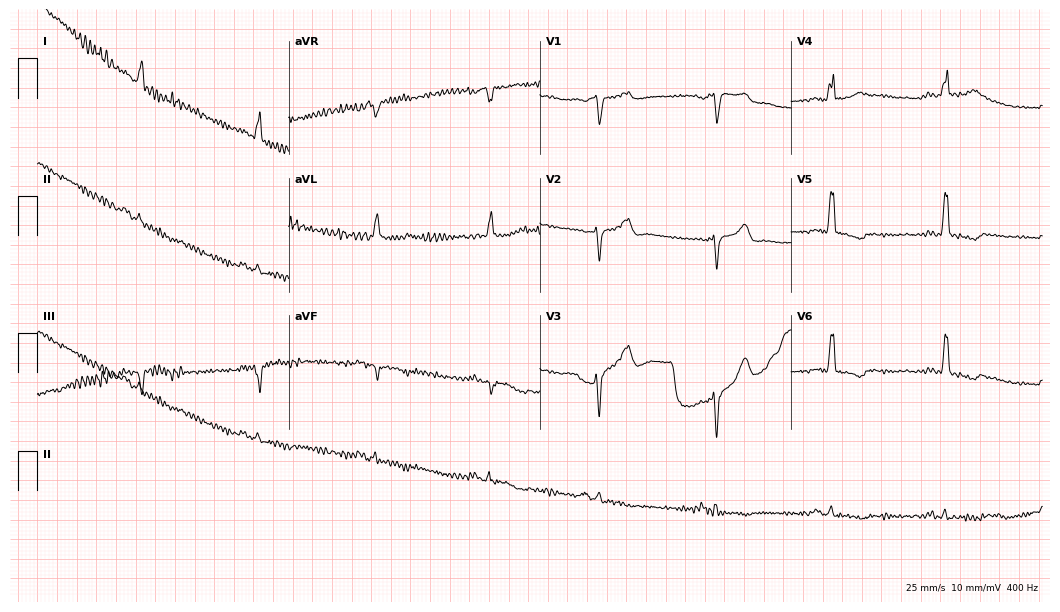
12-lead ECG from a 64-year-old male. No first-degree AV block, right bundle branch block, left bundle branch block, sinus bradycardia, atrial fibrillation or sinus tachycardia recorded for this tracing. Only these six findings were labelled.